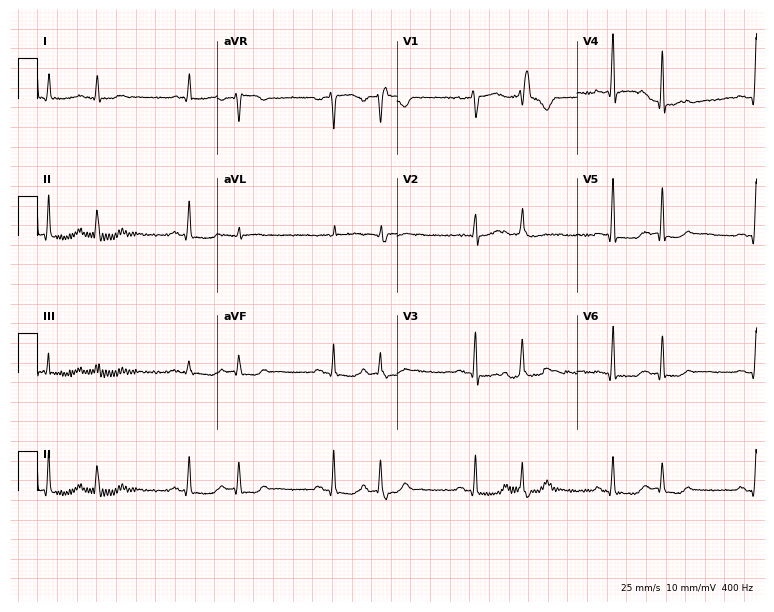
Electrocardiogram (7.3-second recording at 400 Hz), an 81-year-old male. Of the six screened findings (first-degree AV block, right bundle branch block (RBBB), left bundle branch block (LBBB), sinus bradycardia, atrial fibrillation (AF), sinus tachycardia), none is recorded.